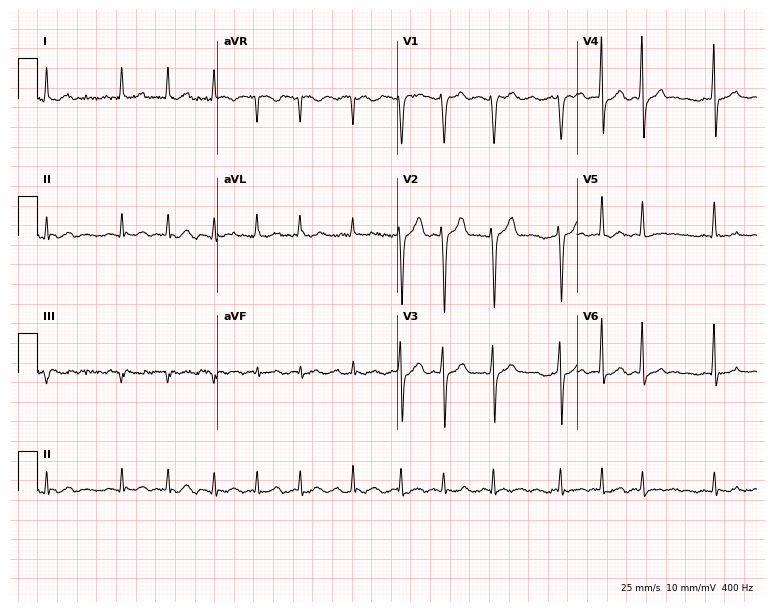
Standard 12-lead ECG recorded from a 63-year-old male. The tracing shows atrial fibrillation (AF).